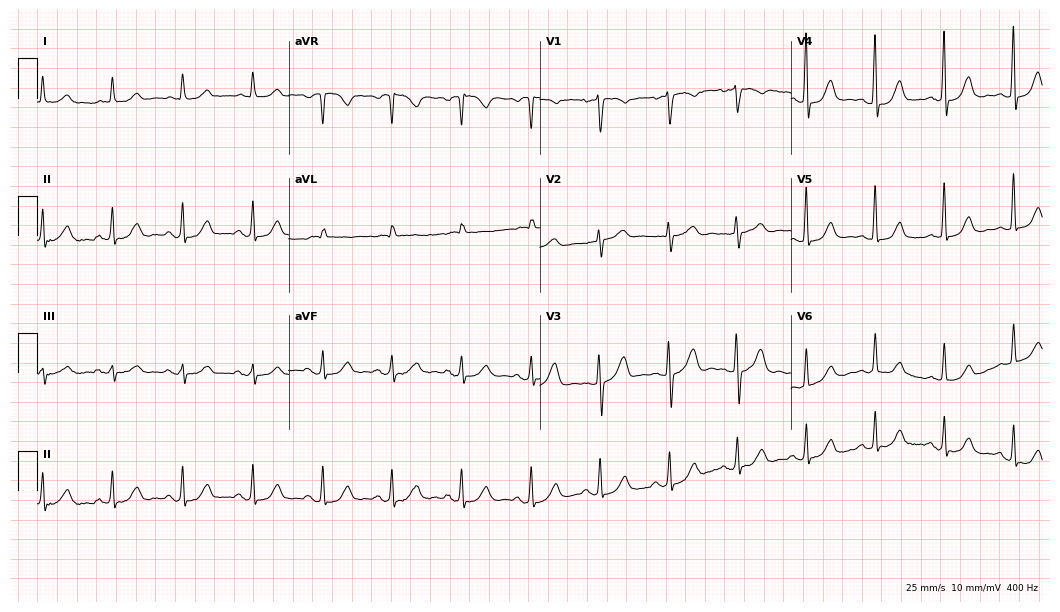
Electrocardiogram, a female, 81 years old. Overall reading on record: normal ECG.